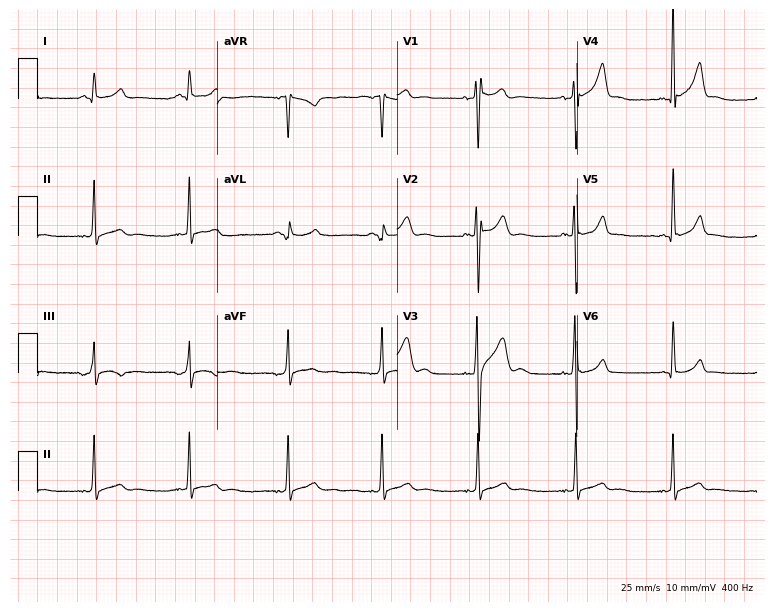
Electrocardiogram (7.3-second recording at 400 Hz), a male, 19 years old. Of the six screened findings (first-degree AV block, right bundle branch block, left bundle branch block, sinus bradycardia, atrial fibrillation, sinus tachycardia), none is recorded. Other findings, if any, are not listed.